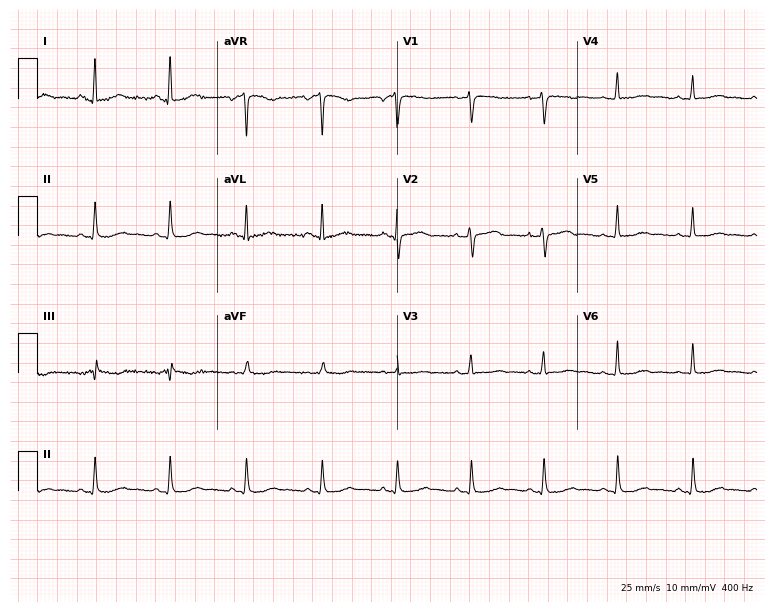
Standard 12-lead ECG recorded from a female, 41 years old. Read as a normal ECG.